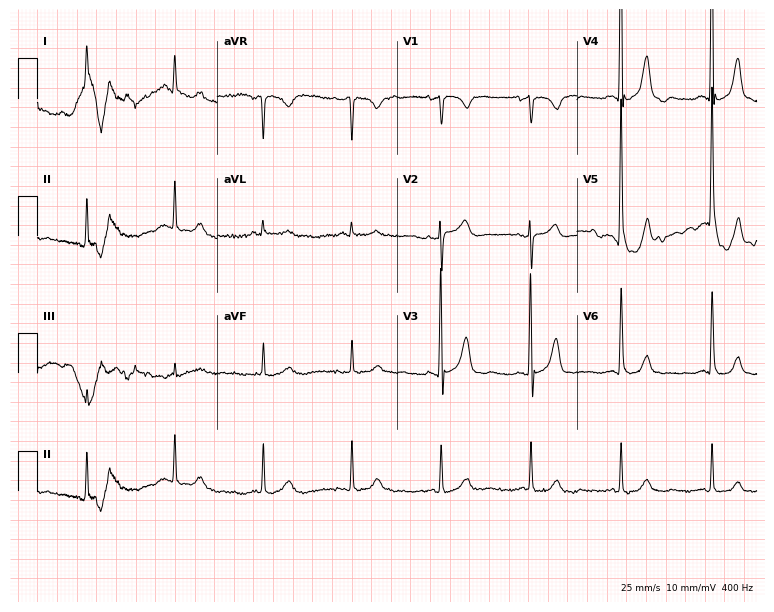
Electrocardiogram, a 74-year-old male patient. Of the six screened findings (first-degree AV block, right bundle branch block (RBBB), left bundle branch block (LBBB), sinus bradycardia, atrial fibrillation (AF), sinus tachycardia), none is recorded.